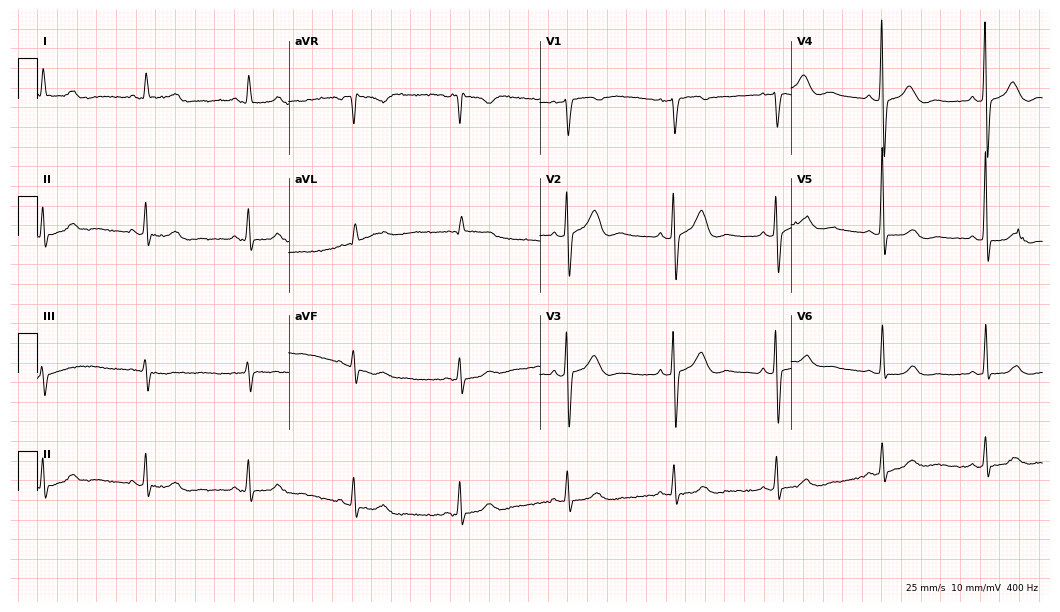
Resting 12-lead electrocardiogram (10.2-second recording at 400 Hz). Patient: a female, 82 years old. None of these six findings is recorded: first-degree AV block, right bundle branch block, left bundle branch block, sinus bradycardia, atrial fibrillation, sinus tachycardia. Findings outside these six are not listed.